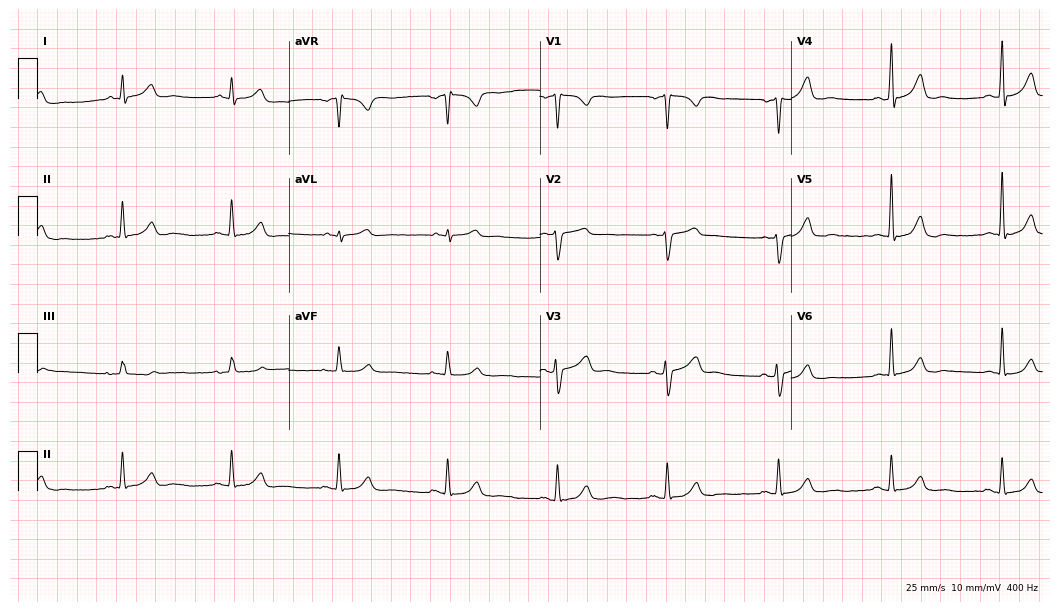
12-lead ECG from a 65-year-old male patient. Recorded interpretation: within normal limits.